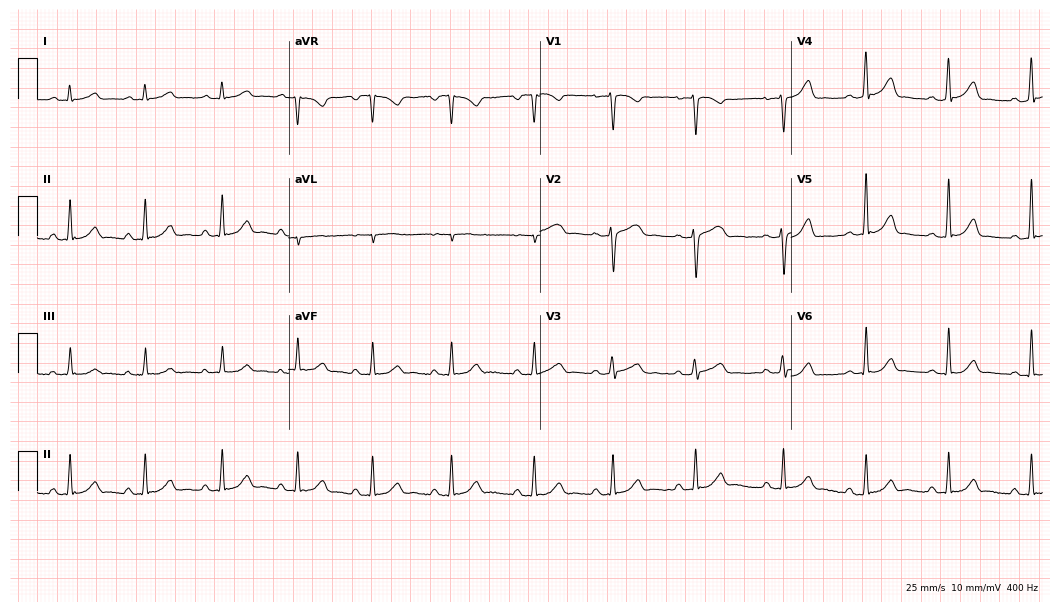
Resting 12-lead electrocardiogram. Patient: a female, 23 years old. Read as a normal ECG.